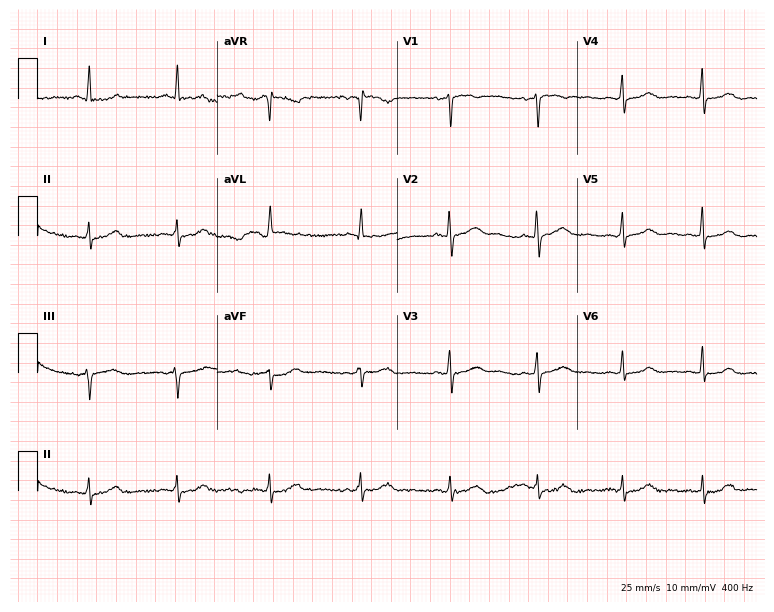
Electrocardiogram, a 40-year-old woman. Of the six screened findings (first-degree AV block, right bundle branch block (RBBB), left bundle branch block (LBBB), sinus bradycardia, atrial fibrillation (AF), sinus tachycardia), none is recorded.